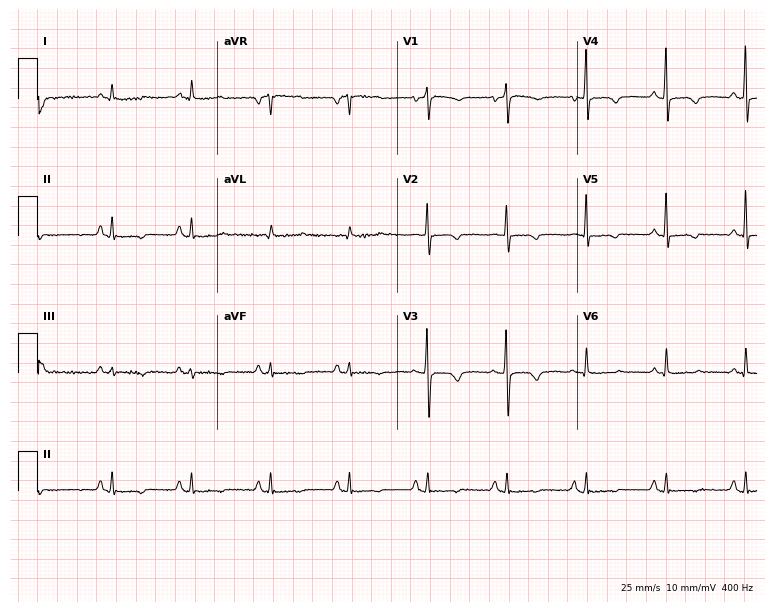
Standard 12-lead ECG recorded from a 72-year-old female (7.3-second recording at 400 Hz). None of these six findings is recorded: first-degree AV block, right bundle branch block, left bundle branch block, sinus bradycardia, atrial fibrillation, sinus tachycardia. Findings outside these six are not listed.